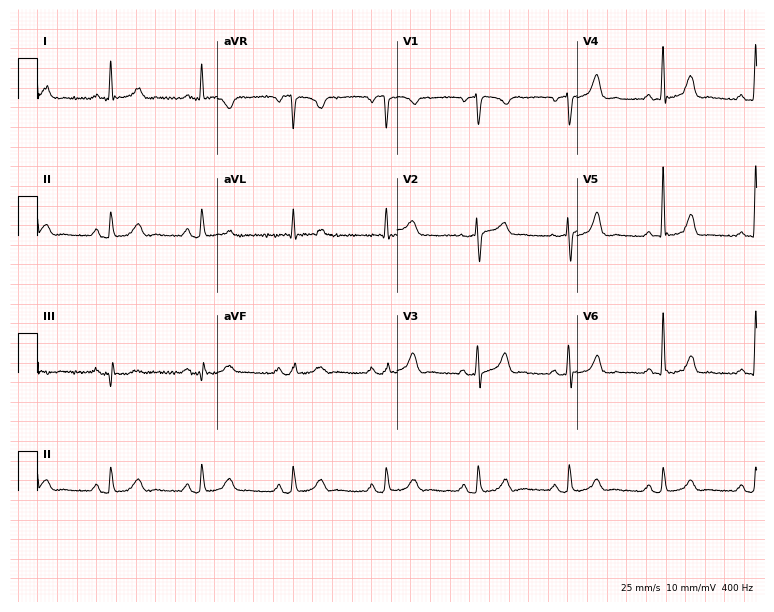
Standard 12-lead ECG recorded from a 77-year-old male patient (7.3-second recording at 400 Hz). None of these six findings is recorded: first-degree AV block, right bundle branch block, left bundle branch block, sinus bradycardia, atrial fibrillation, sinus tachycardia.